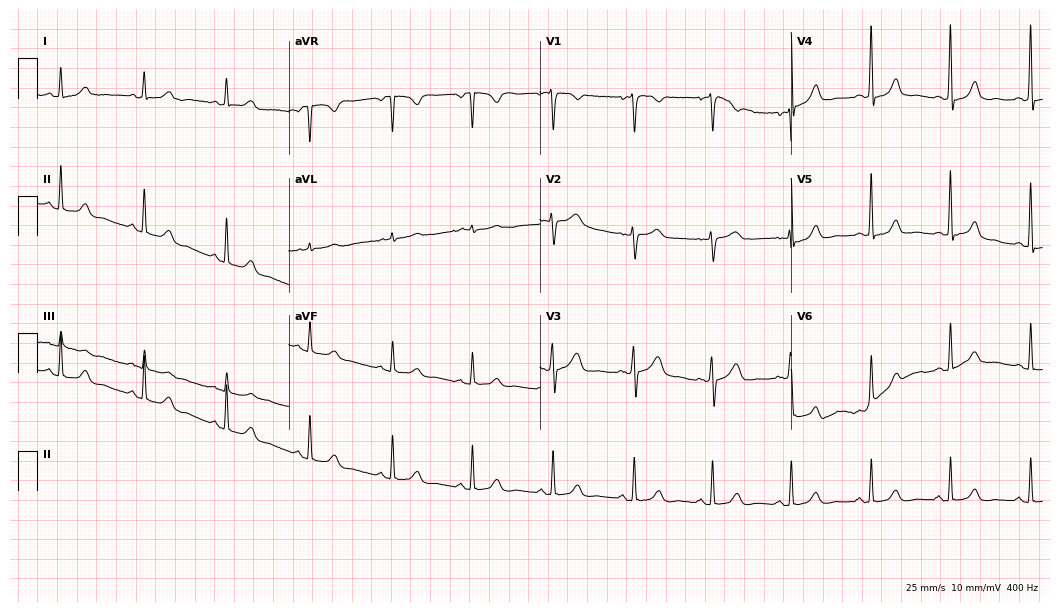
Electrocardiogram (10.2-second recording at 400 Hz), a female, 54 years old. Of the six screened findings (first-degree AV block, right bundle branch block (RBBB), left bundle branch block (LBBB), sinus bradycardia, atrial fibrillation (AF), sinus tachycardia), none is recorded. Findings outside these six are not listed.